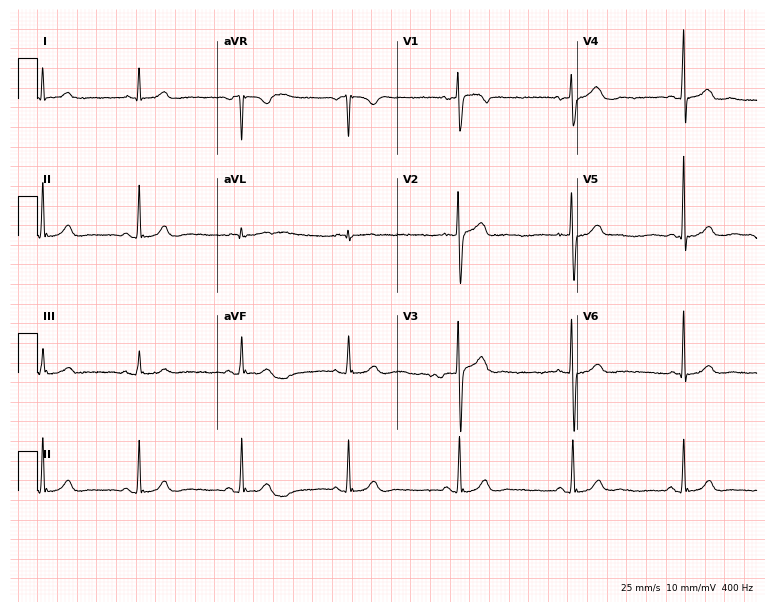
Standard 12-lead ECG recorded from a 65-year-old man (7.3-second recording at 400 Hz). Read as a normal ECG.